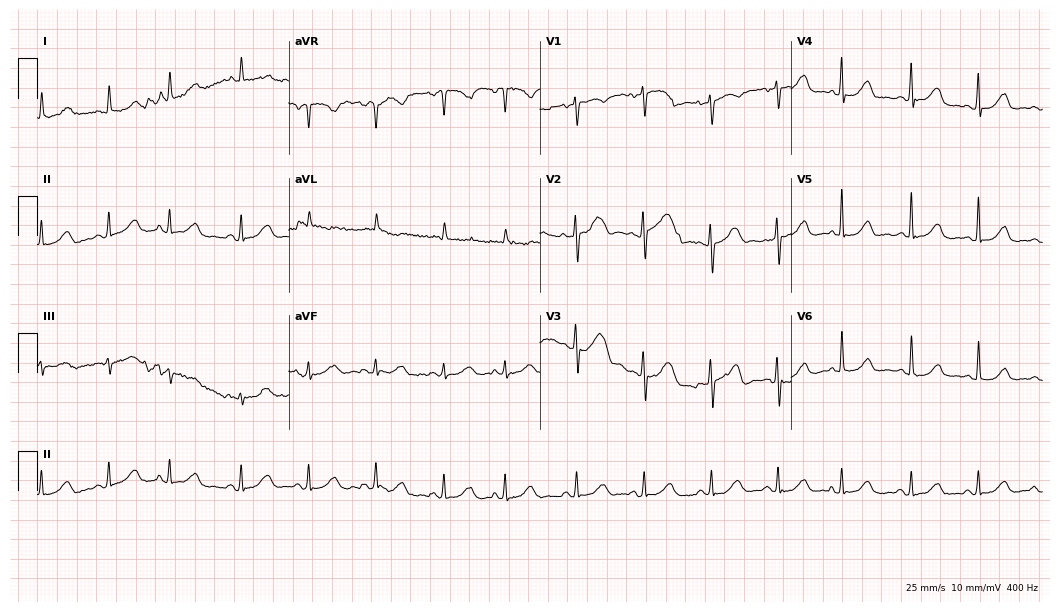
12-lead ECG from a woman, 83 years old. Recorded interpretation: within normal limits.